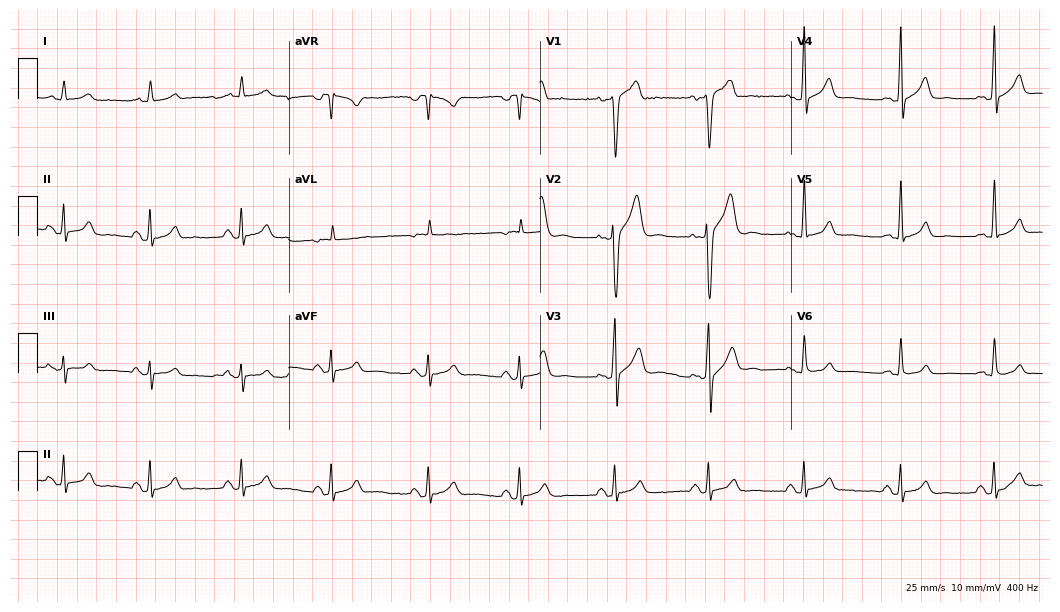
ECG — a man, 40 years old. Labelled as a normal ECG.